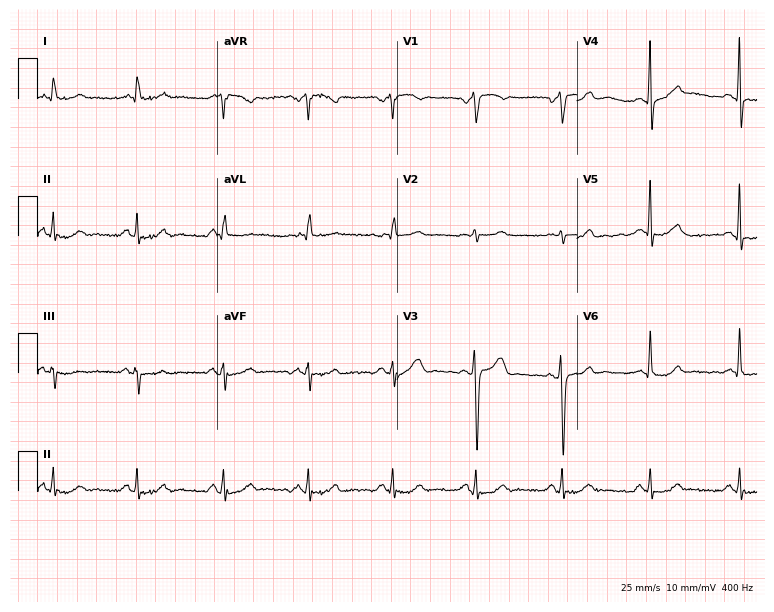
Standard 12-lead ECG recorded from a male patient, 79 years old. None of these six findings is recorded: first-degree AV block, right bundle branch block, left bundle branch block, sinus bradycardia, atrial fibrillation, sinus tachycardia. Findings outside these six are not listed.